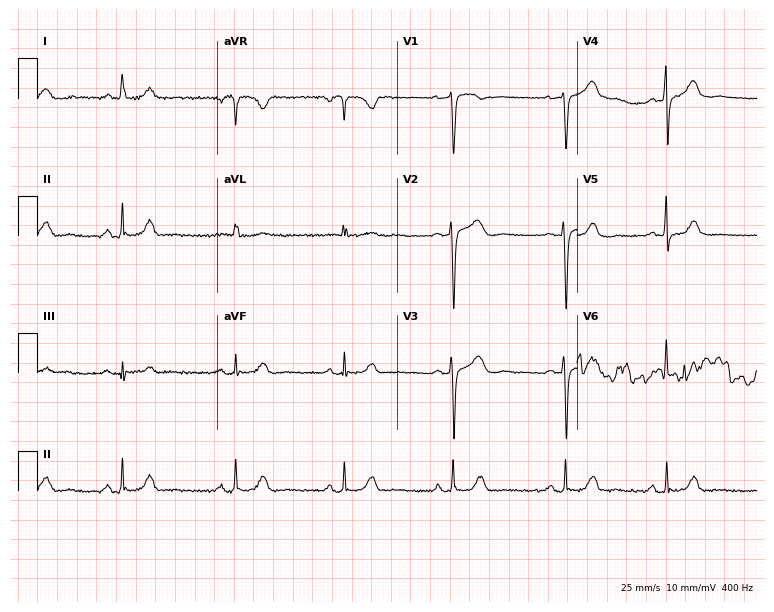
12-lead ECG from a 67-year-old female (7.3-second recording at 400 Hz). No first-degree AV block, right bundle branch block, left bundle branch block, sinus bradycardia, atrial fibrillation or sinus tachycardia recorded for this tracing.